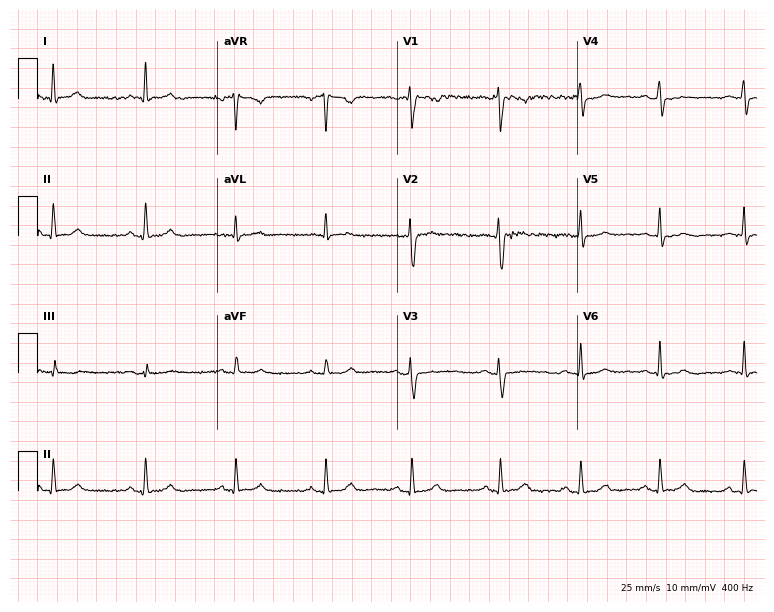
Resting 12-lead electrocardiogram (7.3-second recording at 400 Hz). Patient: a female, 45 years old. None of these six findings is recorded: first-degree AV block, right bundle branch block, left bundle branch block, sinus bradycardia, atrial fibrillation, sinus tachycardia.